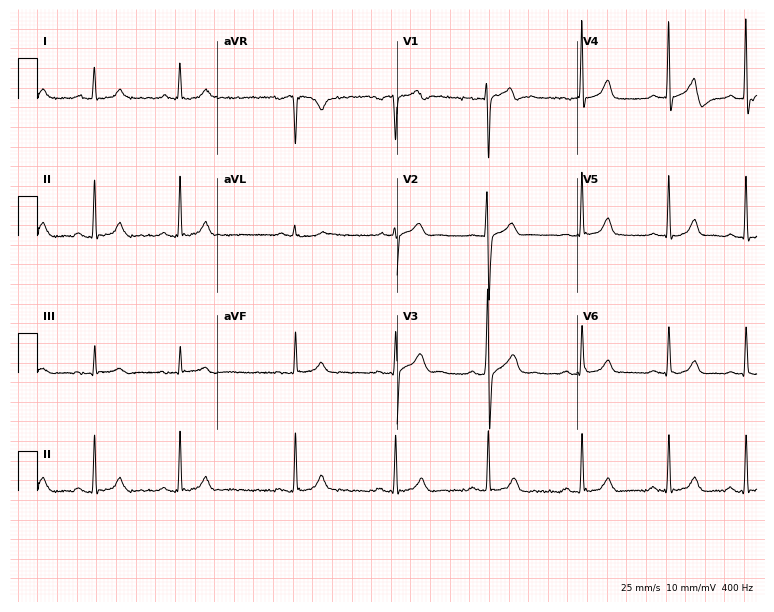
Standard 12-lead ECG recorded from a 26-year-old male patient (7.3-second recording at 400 Hz). Read as a normal ECG.